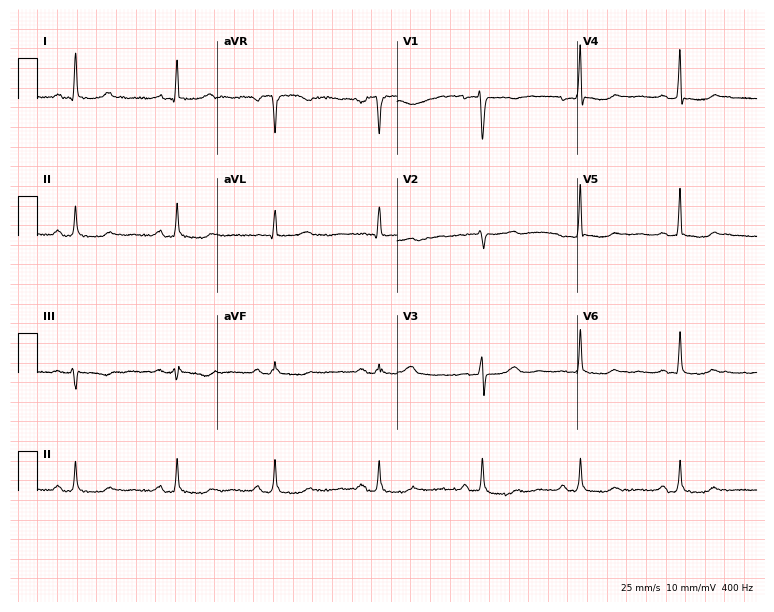
Electrocardiogram, a 54-year-old woman. Of the six screened findings (first-degree AV block, right bundle branch block, left bundle branch block, sinus bradycardia, atrial fibrillation, sinus tachycardia), none is recorded. Only these six findings were labelled.